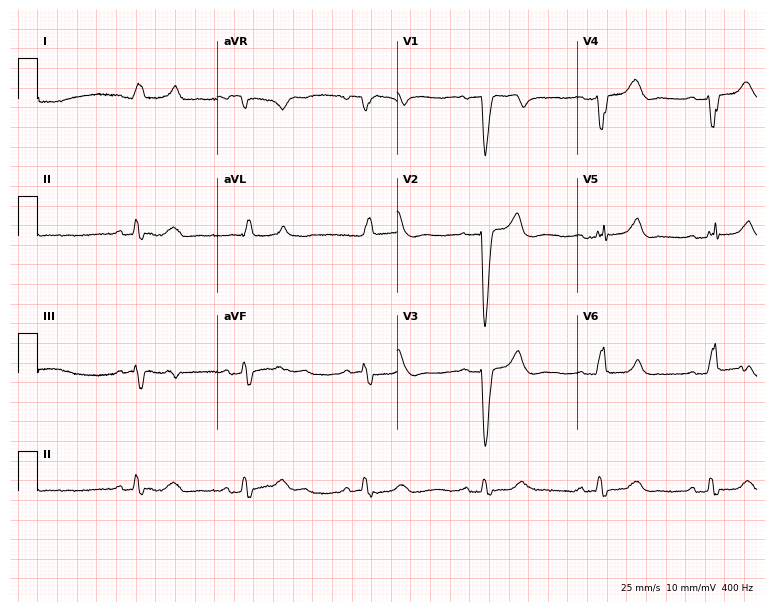
ECG (7.3-second recording at 400 Hz) — a female patient, 60 years old. Findings include left bundle branch block, sinus bradycardia (a sinus rate of 50 beats per minute or less).